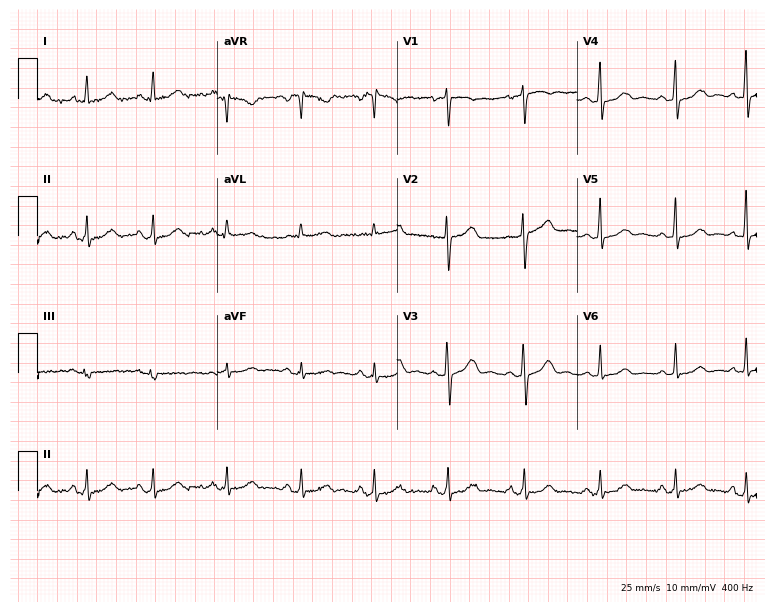
ECG — a woman, 50 years old. Screened for six findings — first-degree AV block, right bundle branch block, left bundle branch block, sinus bradycardia, atrial fibrillation, sinus tachycardia — none is recorded. Other findings, if any, are not listed.